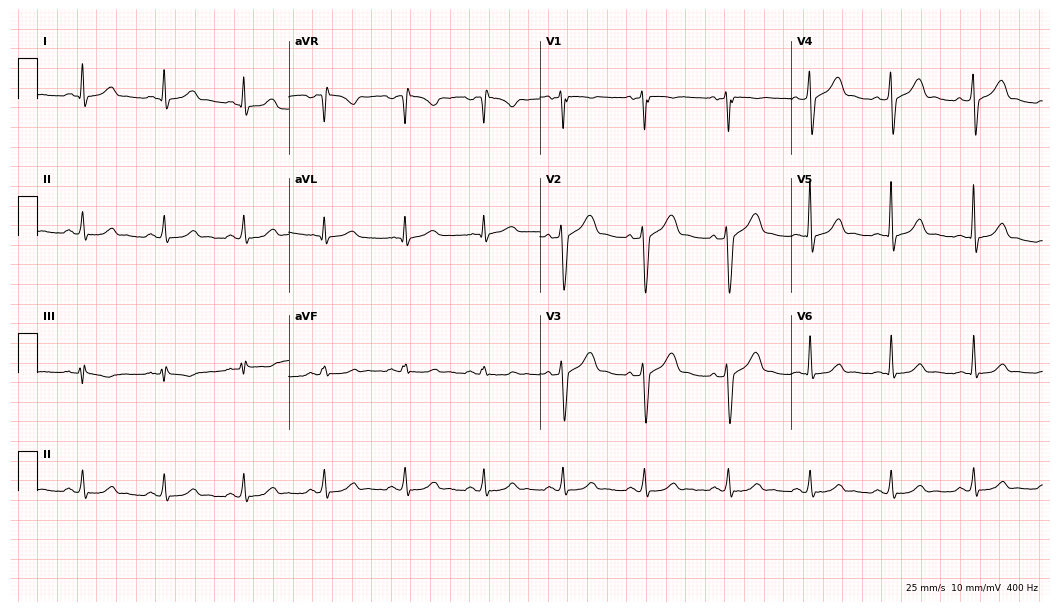
12-lead ECG from a 45-year-old woman. Labelled as a normal ECG.